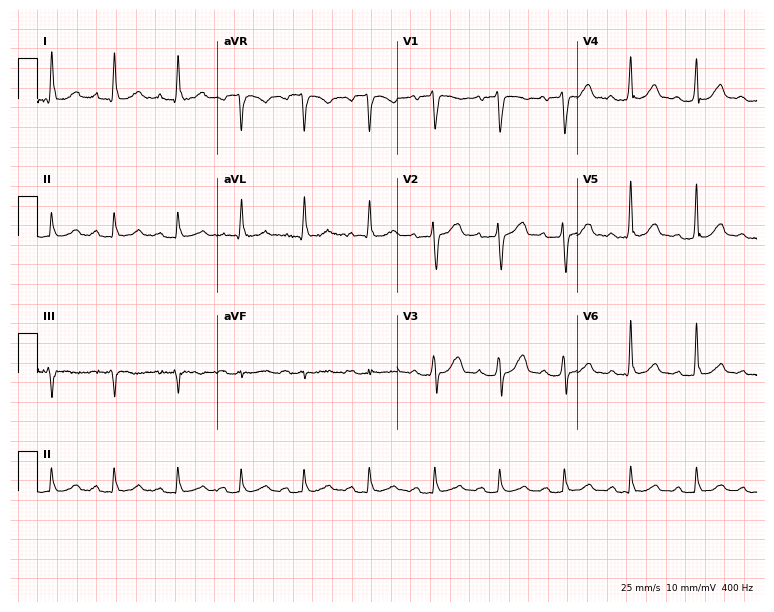
Electrocardiogram (7.3-second recording at 400 Hz), a man, 71 years old. Overall reading on record: normal ECG.